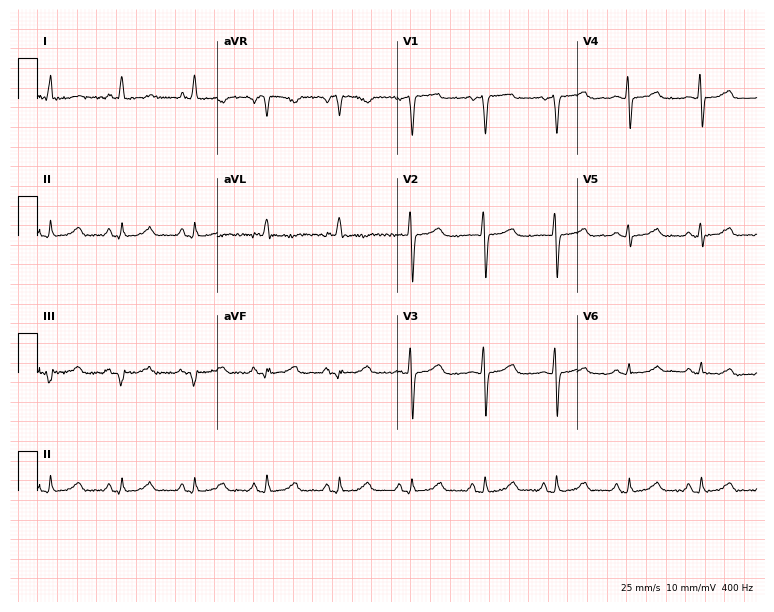
Electrocardiogram, an 80-year-old female patient. Of the six screened findings (first-degree AV block, right bundle branch block, left bundle branch block, sinus bradycardia, atrial fibrillation, sinus tachycardia), none is recorded. Other findings, if any, are not listed.